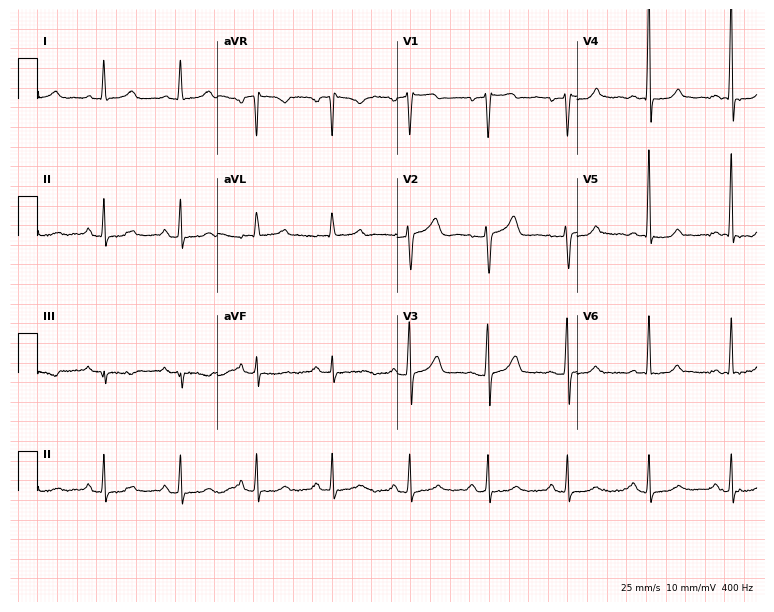
Resting 12-lead electrocardiogram. Patient: a 55-year-old female. None of these six findings is recorded: first-degree AV block, right bundle branch block, left bundle branch block, sinus bradycardia, atrial fibrillation, sinus tachycardia.